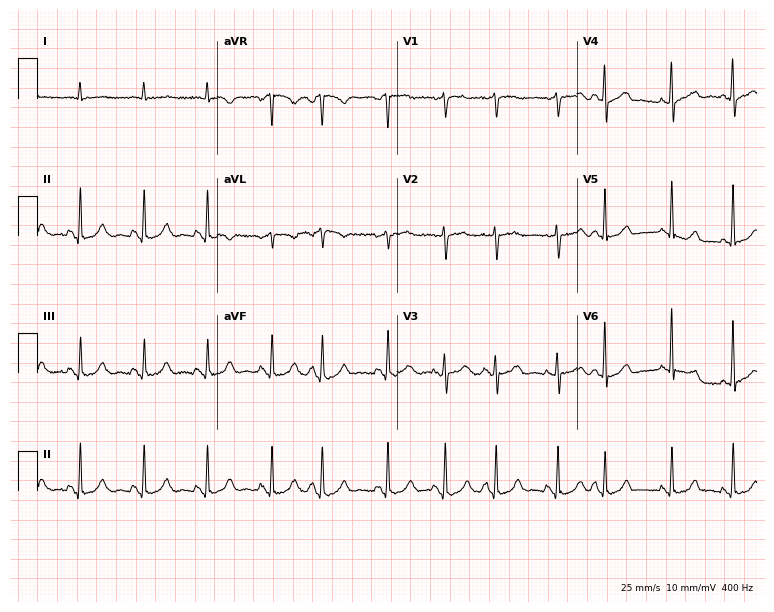
Electrocardiogram, a female patient, 76 years old. Overall reading on record: normal ECG.